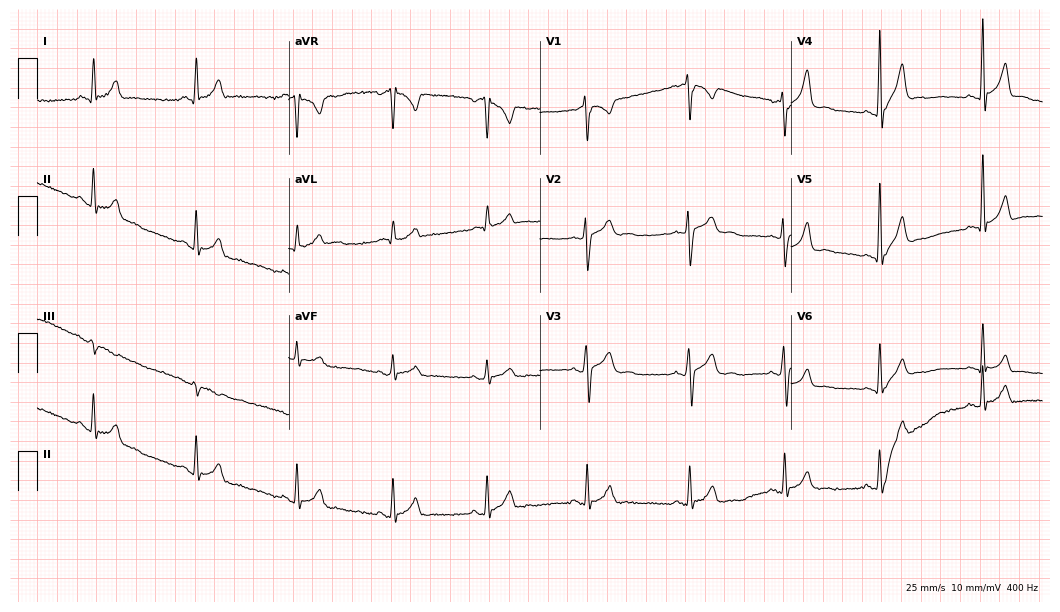
Standard 12-lead ECG recorded from a male patient, 35 years old. None of these six findings is recorded: first-degree AV block, right bundle branch block, left bundle branch block, sinus bradycardia, atrial fibrillation, sinus tachycardia.